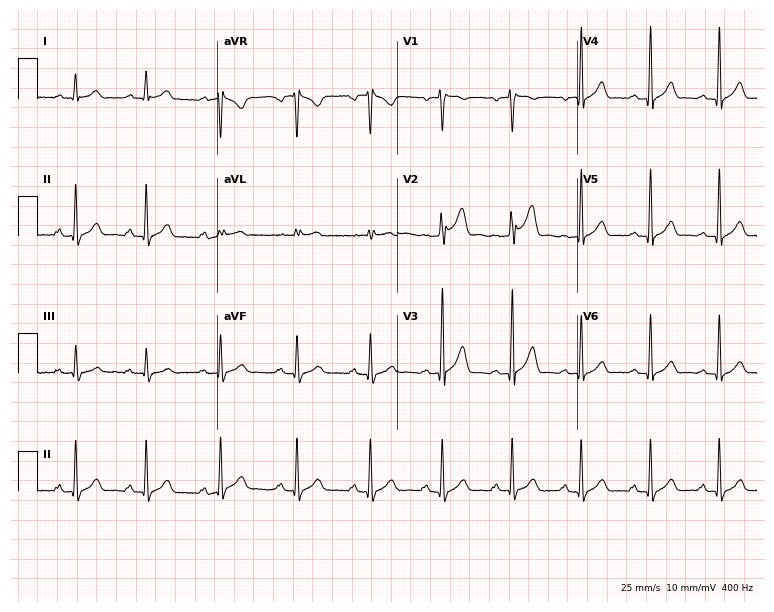
12-lead ECG from a male, 33 years old. Recorded interpretation: within normal limits.